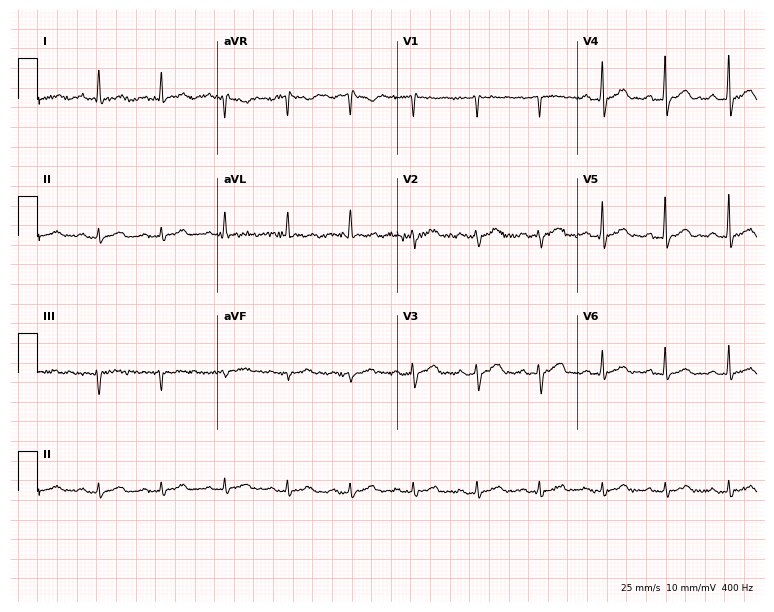
Resting 12-lead electrocardiogram (7.3-second recording at 400 Hz). Patient: a 68-year-old man. Read as a normal ECG.